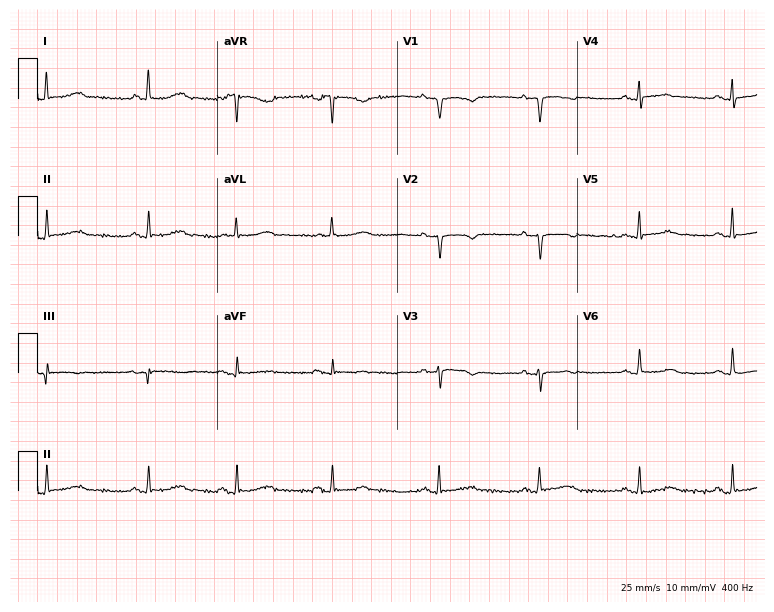
Electrocardiogram, a female, 73 years old. Of the six screened findings (first-degree AV block, right bundle branch block, left bundle branch block, sinus bradycardia, atrial fibrillation, sinus tachycardia), none is recorded. Findings outside these six are not listed.